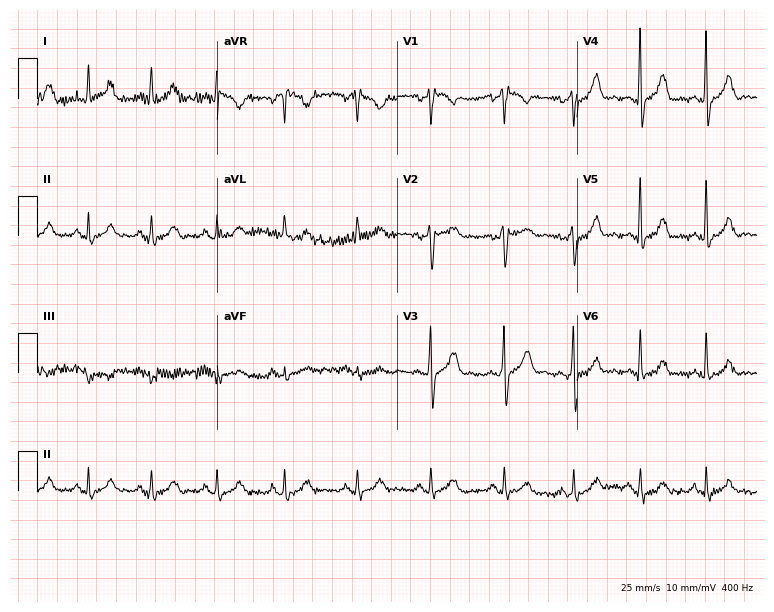
ECG (7.3-second recording at 400 Hz) — a male patient, 46 years old. Screened for six findings — first-degree AV block, right bundle branch block, left bundle branch block, sinus bradycardia, atrial fibrillation, sinus tachycardia — none is recorded. Other findings, if any, are not listed.